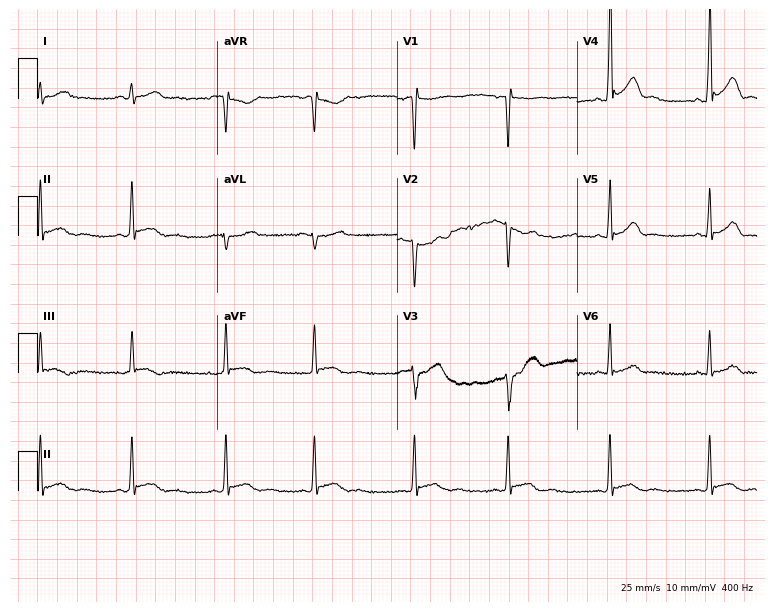
Resting 12-lead electrocardiogram (7.3-second recording at 400 Hz). Patient: a male, 20 years old. None of these six findings is recorded: first-degree AV block, right bundle branch block, left bundle branch block, sinus bradycardia, atrial fibrillation, sinus tachycardia. Other findings, if any, are not listed.